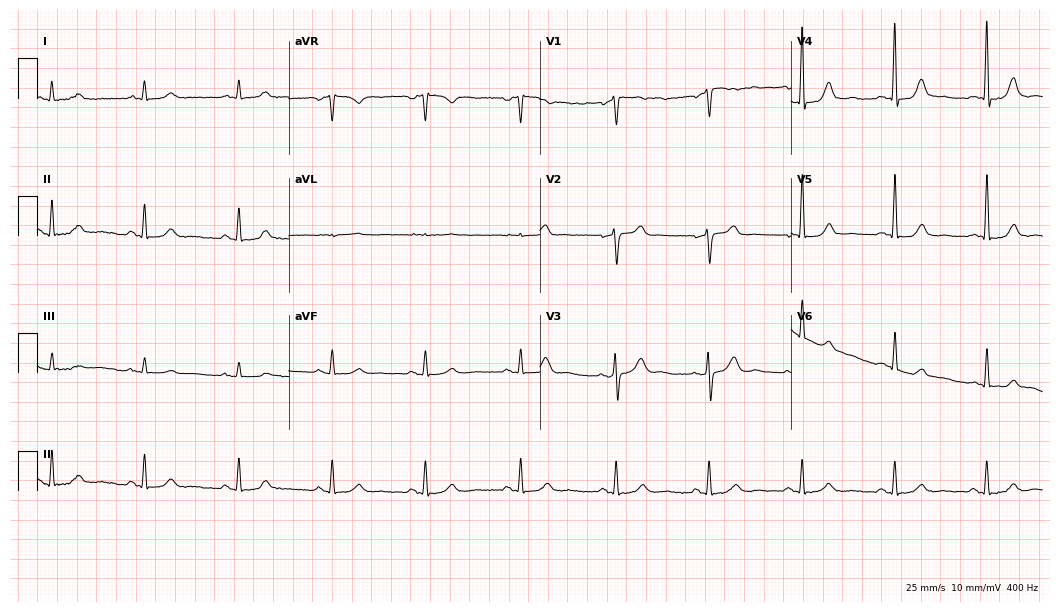
Standard 12-lead ECG recorded from a man, 64 years old. None of these six findings is recorded: first-degree AV block, right bundle branch block (RBBB), left bundle branch block (LBBB), sinus bradycardia, atrial fibrillation (AF), sinus tachycardia.